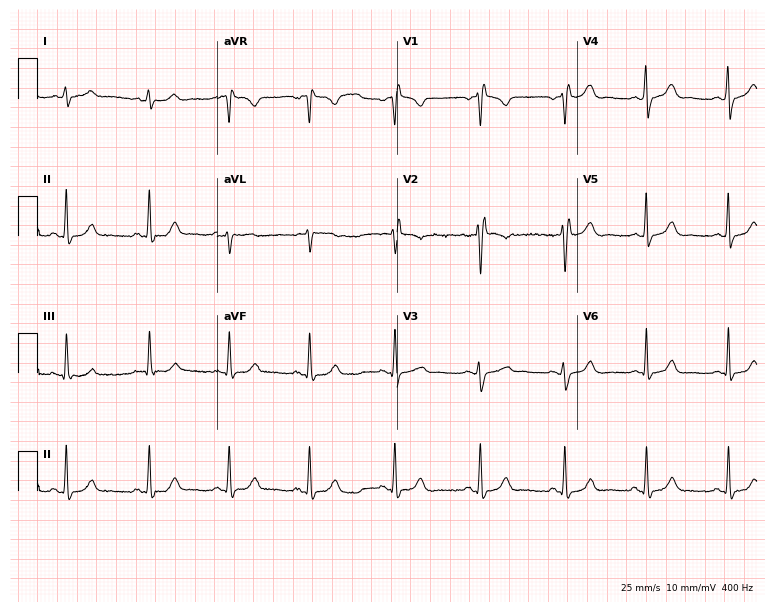
Resting 12-lead electrocardiogram. Patient: a 17-year-old female. Read as a normal ECG.